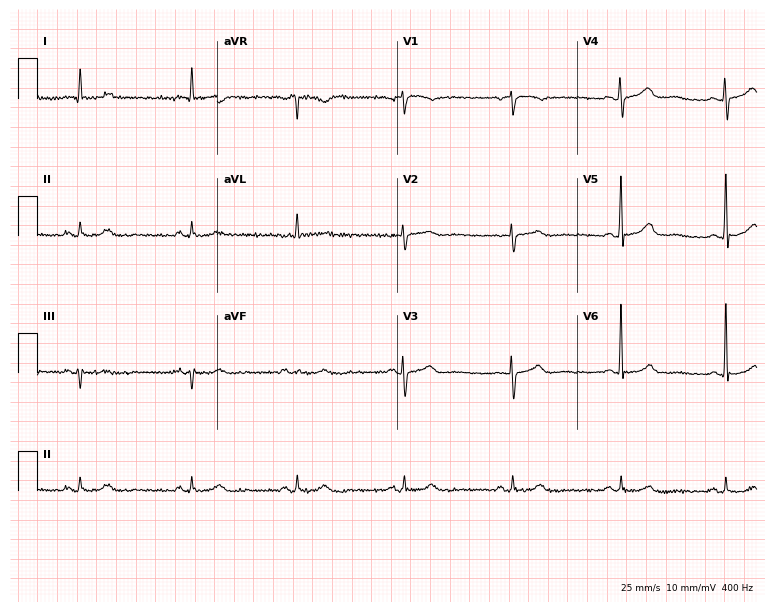
Resting 12-lead electrocardiogram (7.3-second recording at 400 Hz). Patient: a 75-year-old female. None of these six findings is recorded: first-degree AV block, right bundle branch block, left bundle branch block, sinus bradycardia, atrial fibrillation, sinus tachycardia. Findings outside these six are not listed.